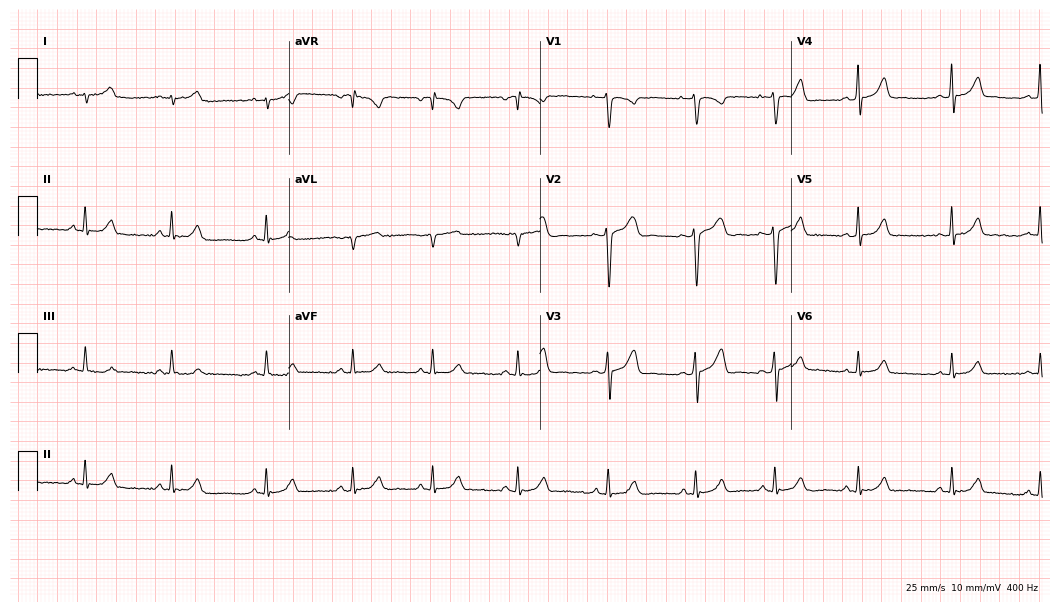
Electrocardiogram (10.2-second recording at 400 Hz), a female patient, 20 years old. Of the six screened findings (first-degree AV block, right bundle branch block, left bundle branch block, sinus bradycardia, atrial fibrillation, sinus tachycardia), none is recorded. Other findings, if any, are not listed.